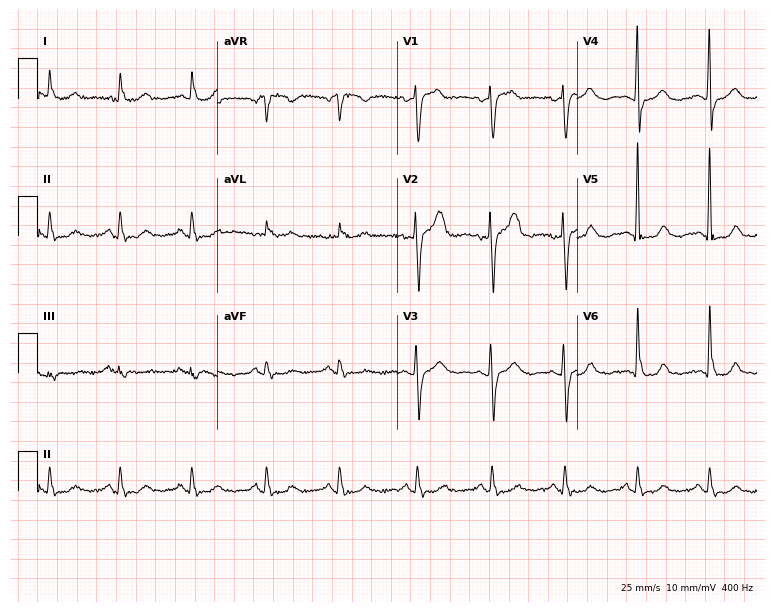
Electrocardiogram, a 62-year-old female. Of the six screened findings (first-degree AV block, right bundle branch block, left bundle branch block, sinus bradycardia, atrial fibrillation, sinus tachycardia), none is recorded. Findings outside these six are not listed.